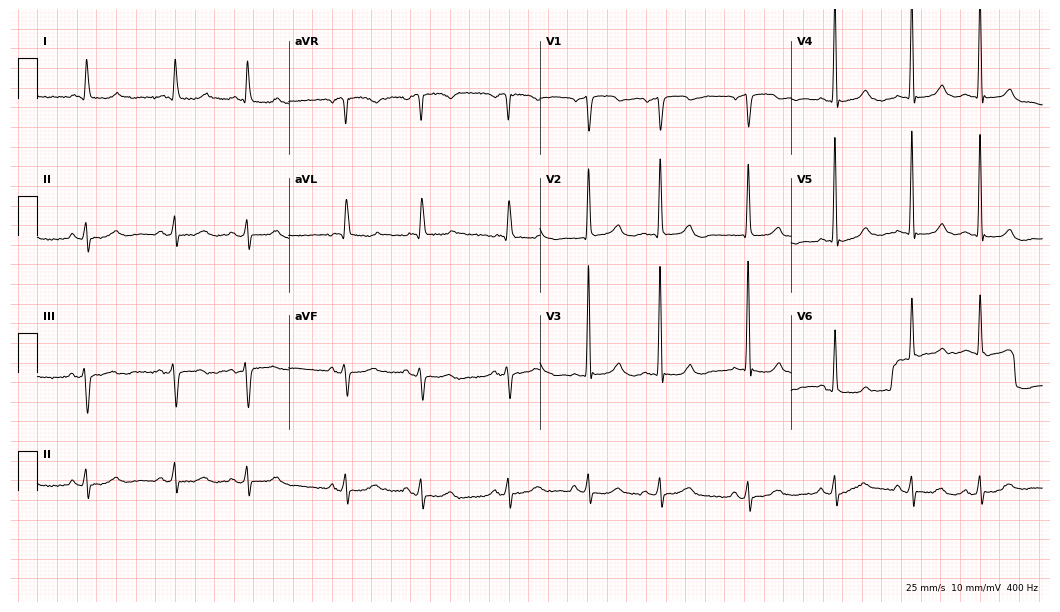
12-lead ECG from an 82-year-old male (10.2-second recording at 400 Hz). No first-degree AV block, right bundle branch block, left bundle branch block, sinus bradycardia, atrial fibrillation or sinus tachycardia recorded for this tracing. Other findings, if any, are not listed.